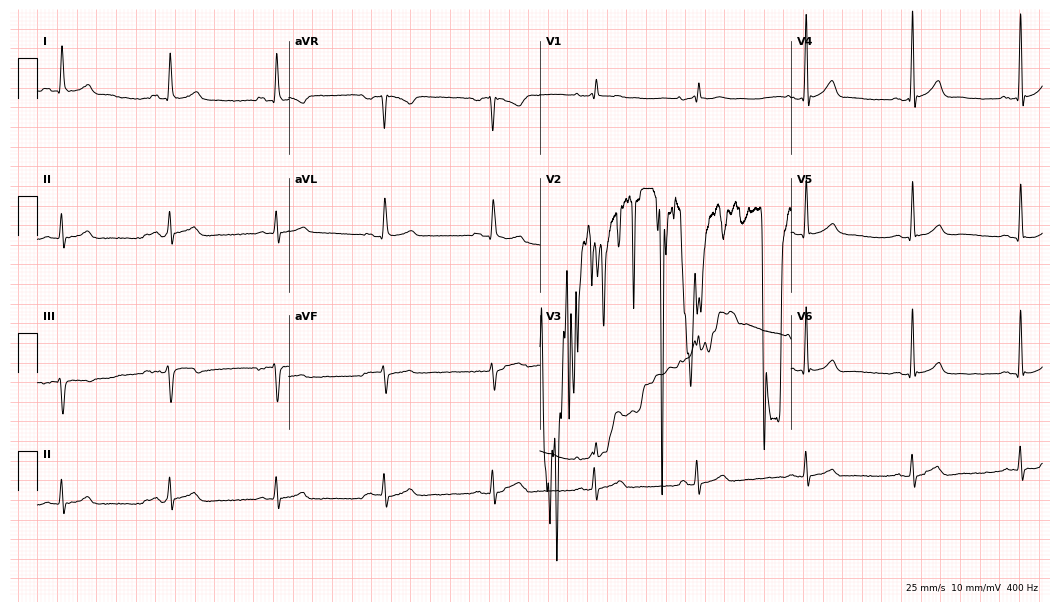
12-lead ECG (10.2-second recording at 400 Hz) from a male patient, 49 years old. Screened for six findings — first-degree AV block, right bundle branch block, left bundle branch block, sinus bradycardia, atrial fibrillation, sinus tachycardia — none is recorded. Only these six findings were labelled.